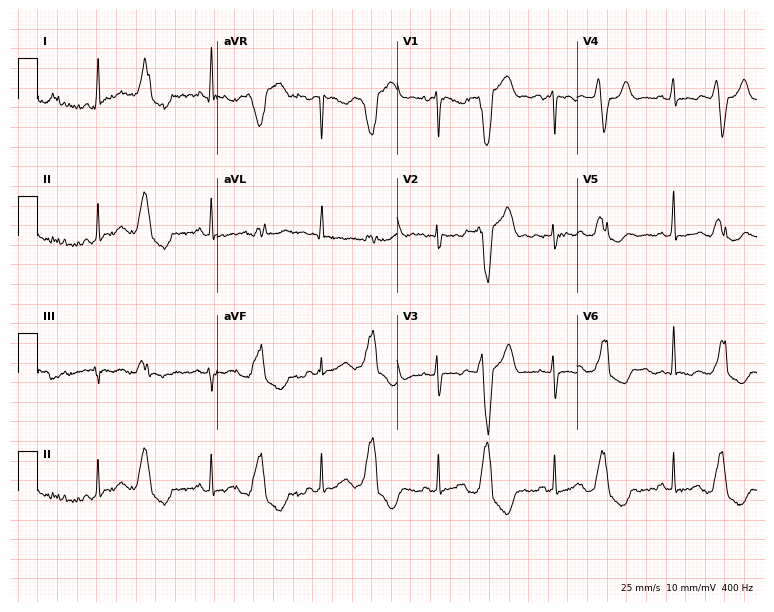
Resting 12-lead electrocardiogram. Patient: a 35-year-old woman. Read as a normal ECG.